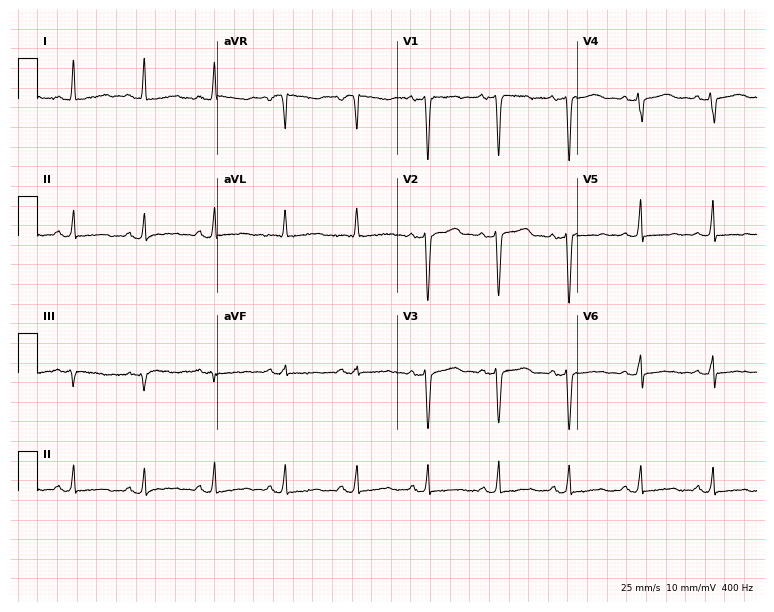
ECG — a 60-year-old female patient. Labelled as a normal ECG.